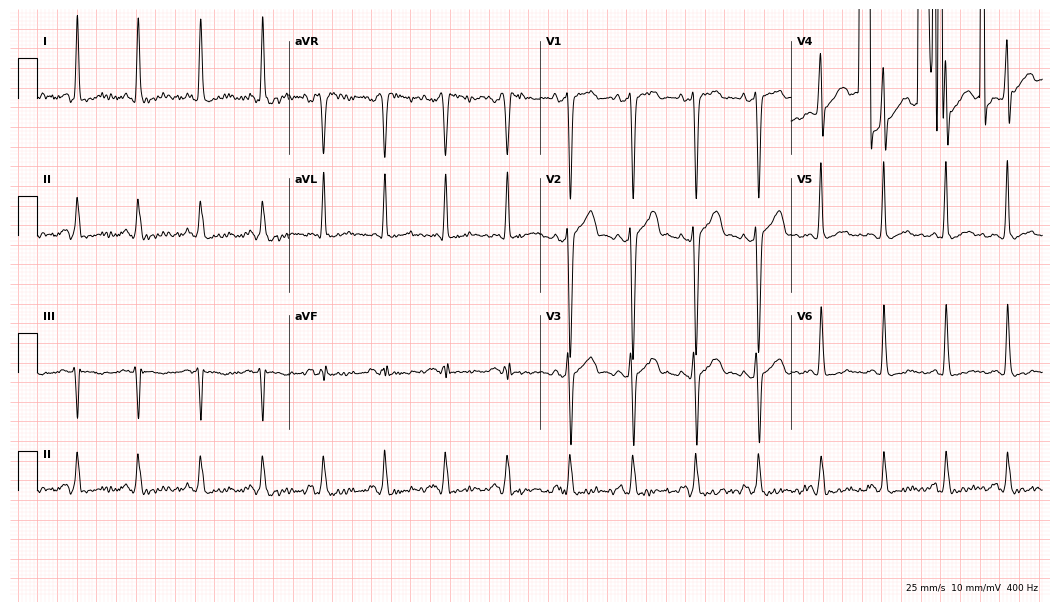
ECG — a 41-year-old man. Screened for six findings — first-degree AV block, right bundle branch block (RBBB), left bundle branch block (LBBB), sinus bradycardia, atrial fibrillation (AF), sinus tachycardia — none is recorded.